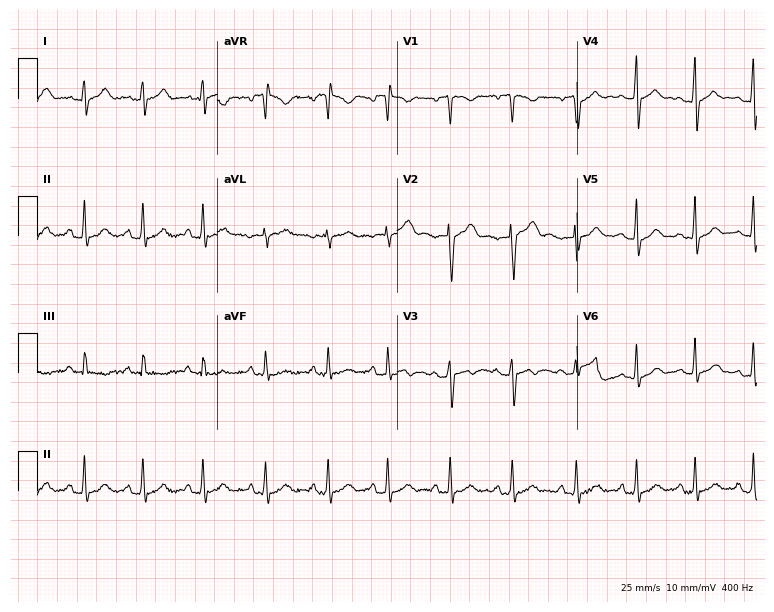
12-lead ECG from a male, 23 years old (7.3-second recording at 400 Hz). Recorded interpretation: within normal limits.